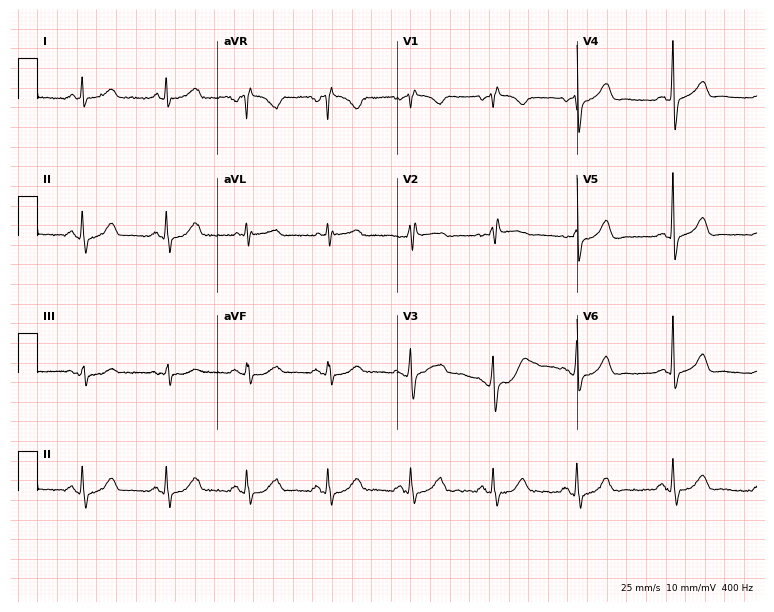
Standard 12-lead ECG recorded from a 61-year-old female patient. None of these six findings is recorded: first-degree AV block, right bundle branch block (RBBB), left bundle branch block (LBBB), sinus bradycardia, atrial fibrillation (AF), sinus tachycardia. Other findings, if any, are not listed.